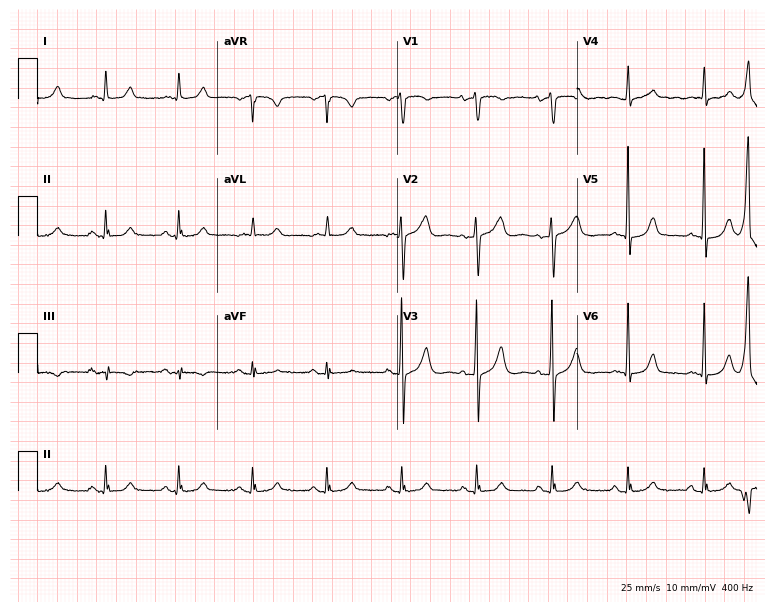
12-lead ECG from a man, 69 years old (7.3-second recording at 400 Hz). Recorded interpretation: within normal limits.